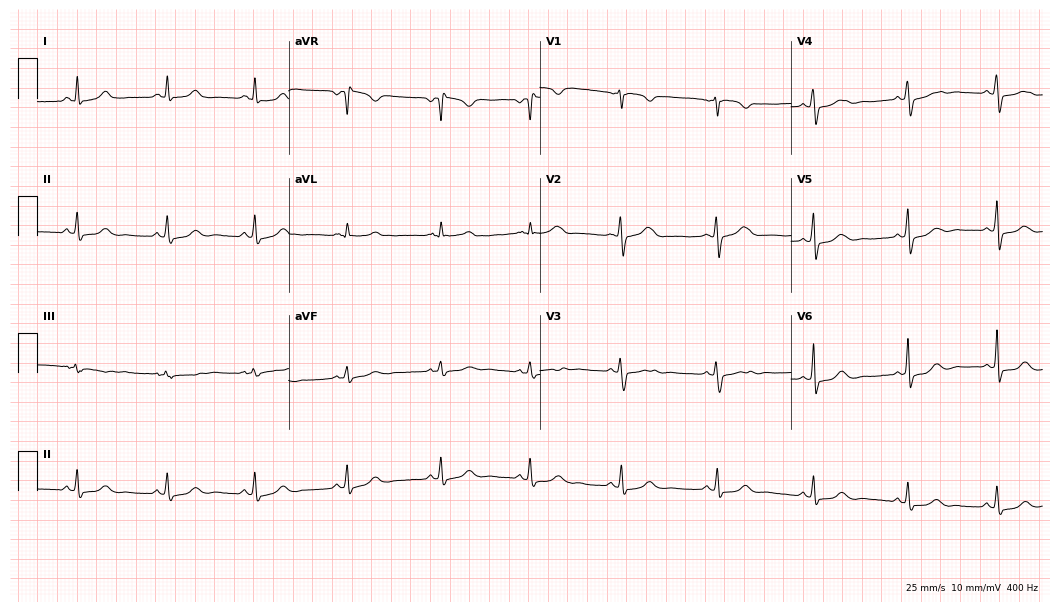
12-lead ECG from a 41-year-old female patient. No first-degree AV block, right bundle branch block, left bundle branch block, sinus bradycardia, atrial fibrillation or sinus tachycardia recorded for this tracing. Findings outside these six are not listed.